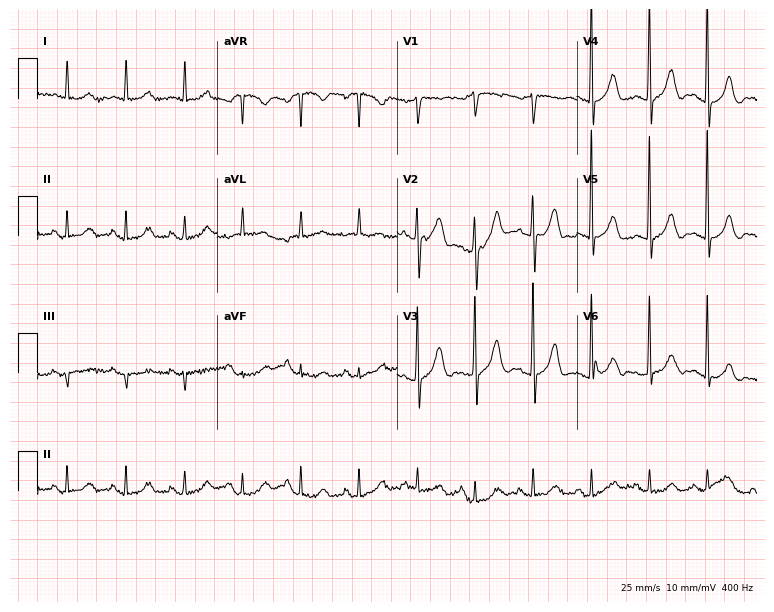
12-lead ECG (7.3-second recording at 400 Hz) from a woman, 83 years old. Screened for six findings — first-degree AV block, right bundle branch block, left bundle branch block, sinus bradycardia, atrial fibrillation, sinus tachycardia — none is recorded.